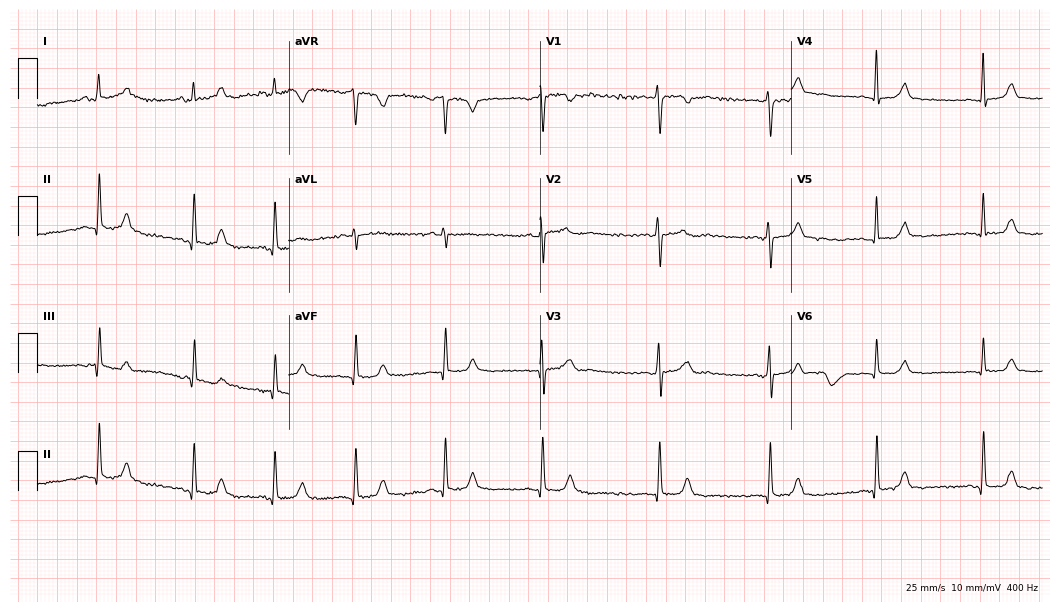
Resting 12-lead electrocardiogram (10.2-second recording at 400 Hz). Patient: a 20-year-old female. None of these six findings is recorded: first-degree AV block, right bundle branch block, left bundle branch block, sinus bradycardia, atrial fibrillation, sinus tachycardia.